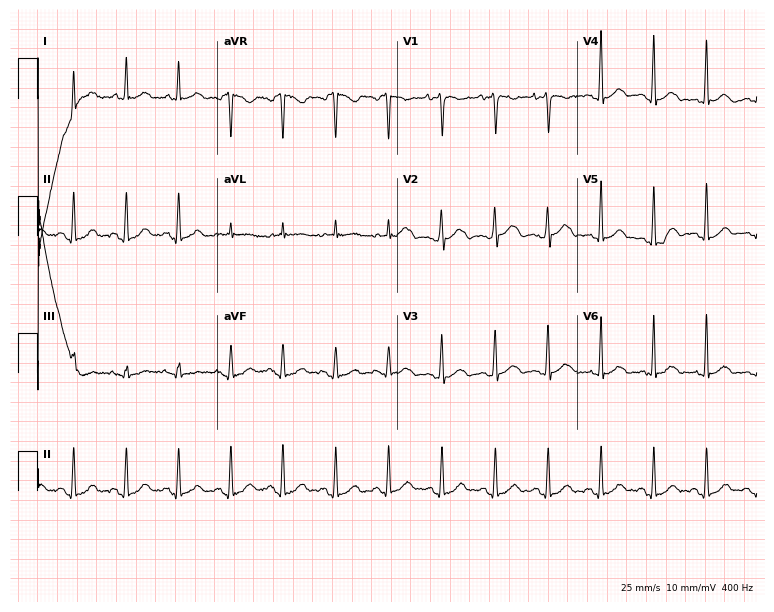
ECG (7.3-second recording at 400 Hz) — a 35-year-old female patient. Screened for six findings — first-degree AV block, right bundle branch block, left bundle branch block, sinus bradycardia, atrial fibrillation, sinus tachycardia — none is recorded. Findings outside these six are not listed.